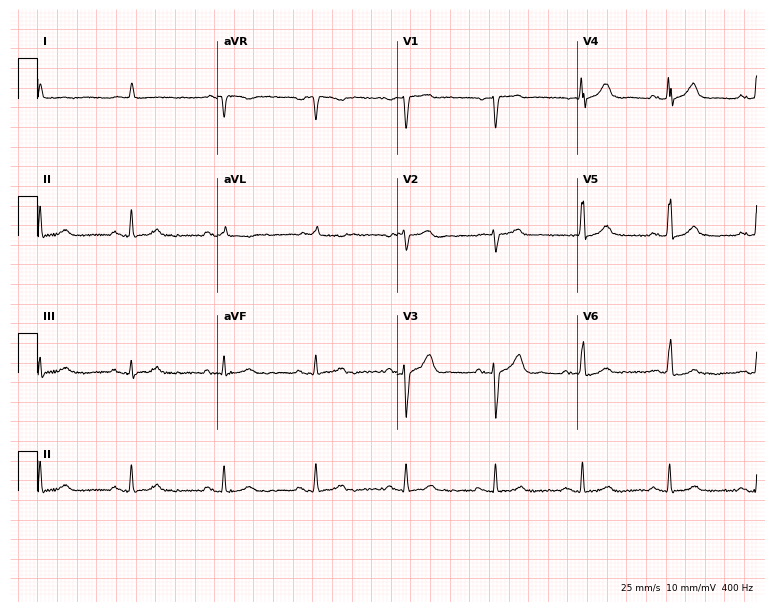
Standard 12-lead ECG recorded from a male patient, 71 years old (7.3-second recording at 400 Hz). Read as a normal ECG.